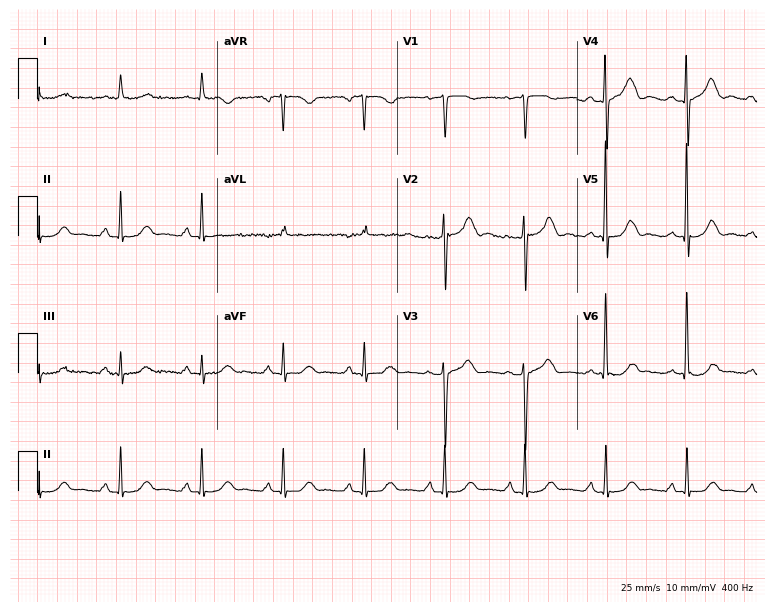
Resting 12-lead electrocardiogram (7.3-second recording at 400 Hz). Patient: a 76-year-old female. Read as a normal ECG.